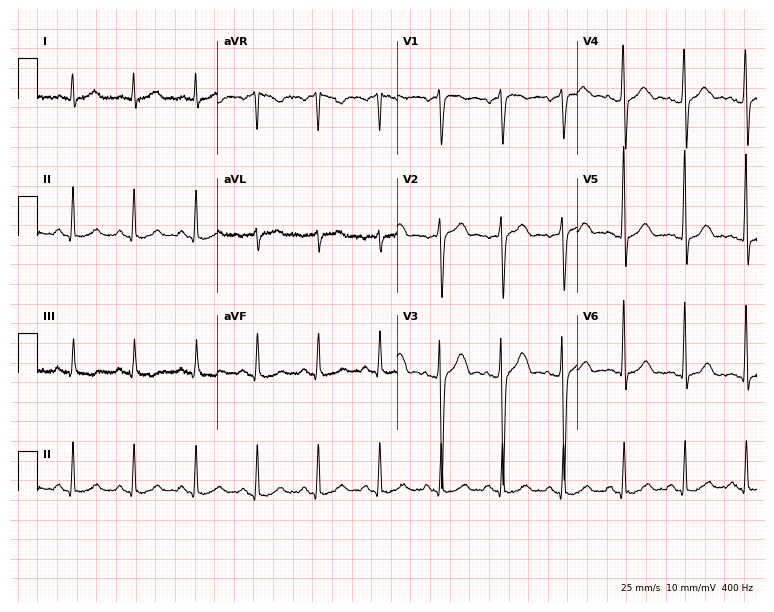
Electrocardiogram, a 71-year-old man. Of the six screened findings (first-degree AV block, right bundle branch block (RBBB), left bundle branch block (LBBB), sinus bradycardia, atrial fibrillation (AF), sinus tachycardia), none is recorded.